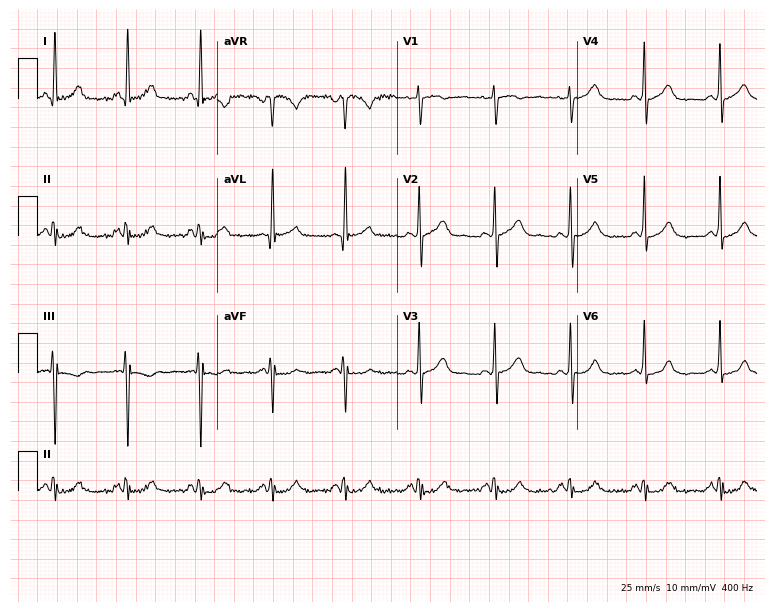
Resting 12-lead electrocardiogram. Patient: a 45-year-old female. None of these six findings is recorded: first-degree AV block, right bundle branch block (RBBB), left bundle branch block (LBBB), sinus bradycardia, atrial fibrillation (AF), sinus tachycardia.